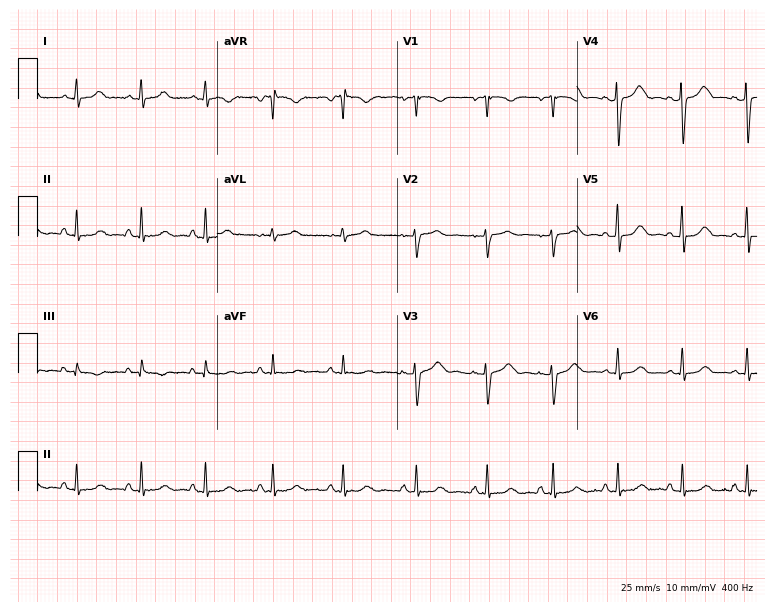
Resting 12-lead electrocardiogram (7.3-second recording at 400 Hz). Patient: a female, 22 years old. None of these six findings is recorded: first-degree AV block, right bundle branch block, left bundle branch block, sinus bradycardia, atrial fibrillation, sinus tachycardia. Findings outside these six are not listed.